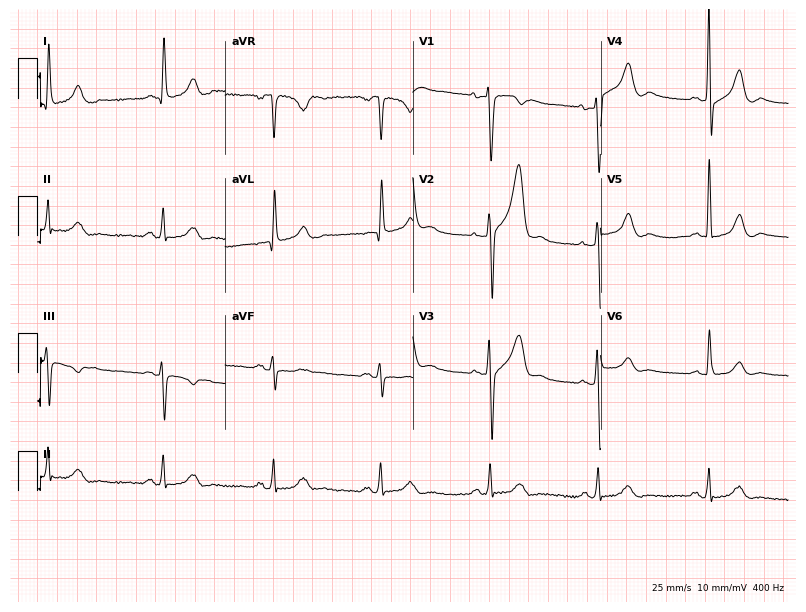
ECG — a 58-year-old man. Screened for six findings — first-degree AV block, right bundle branch block (RBBB), left bundle branch block (LBBB), sinus bradycardia, atrial fibrillation (AF), sinus tachycardia — none is recorded. Other findings, if any, are not listed.